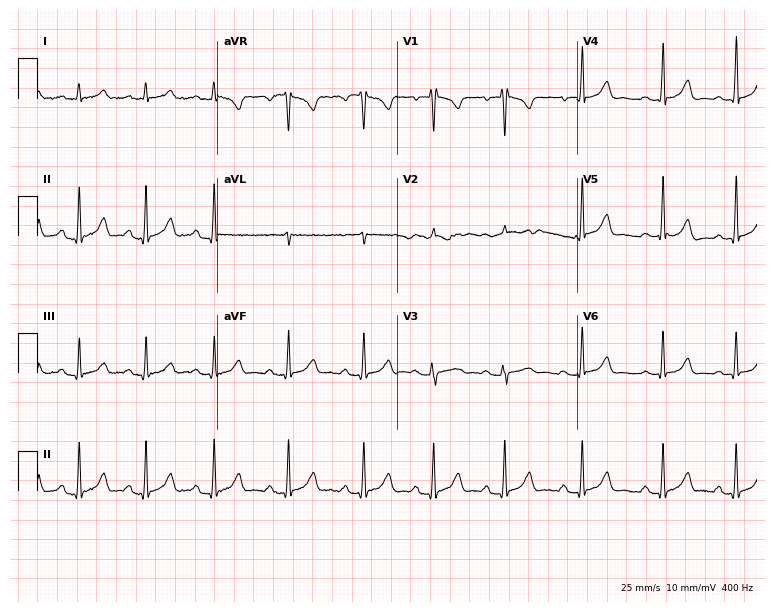
Electrocardiogram (7.3-second recording at 400 Hz), an 18-year-old female patient. Overall reading on record: normal ECG.